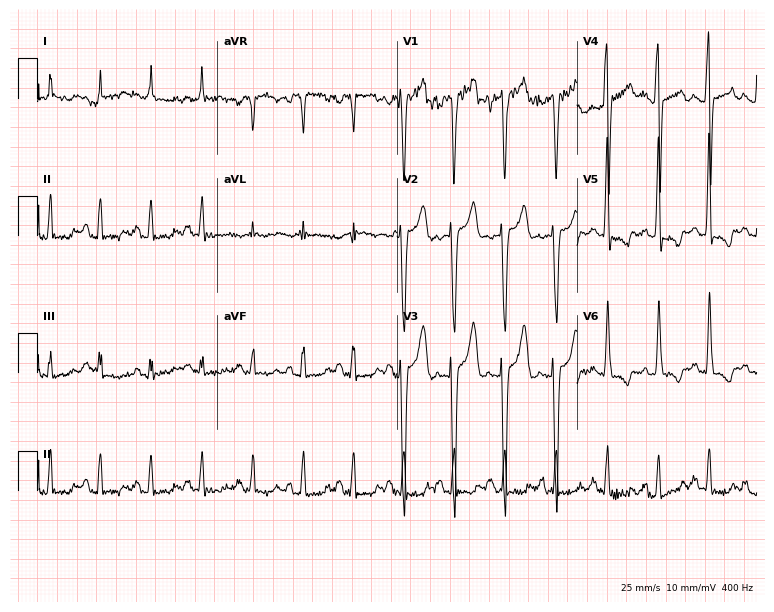
12-lead ECG (7.3-second recording at 400 Hz) from a 41-year-old man. Findings include sinus tachycardia (a sinus rate of 100 beats per minute or more).